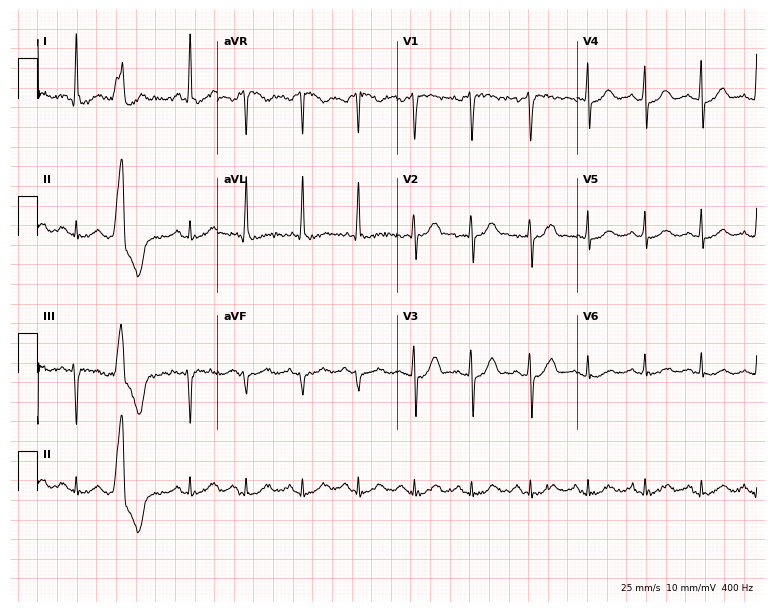
ECG — a 52-year-old male patient. Labelled as a normal ECG.